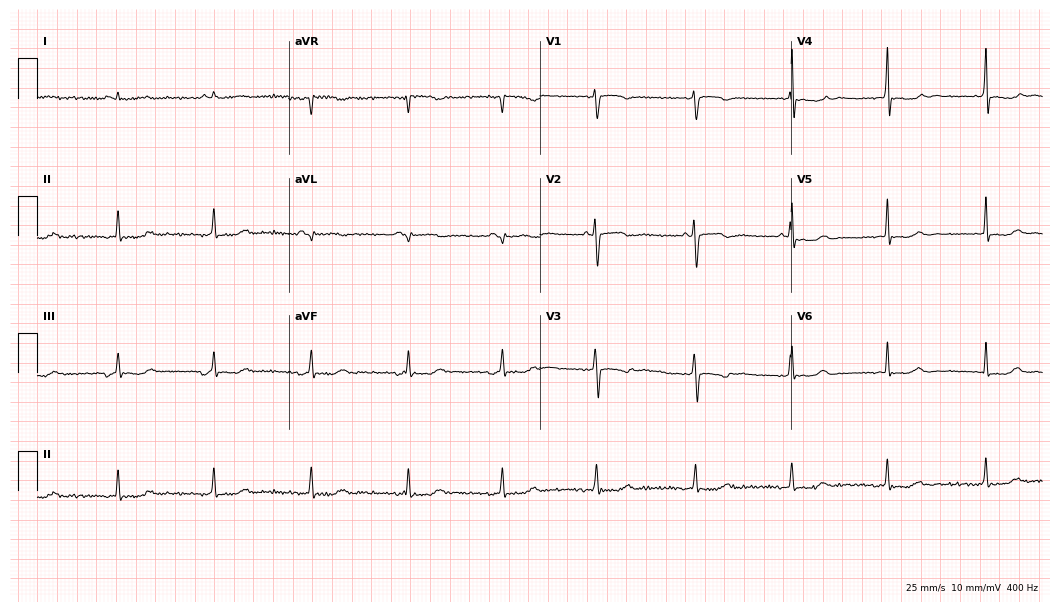
12-lead ECG from a 35-year-old female. Screened for six findings — first-degree AV block, right bundle branch block (RBBB), left bundle branch block (LBBB), sinus bradycardia, atrial fibrillation (AF), sinus tachycardia — none is recorded. Findings outside these six are not listed.